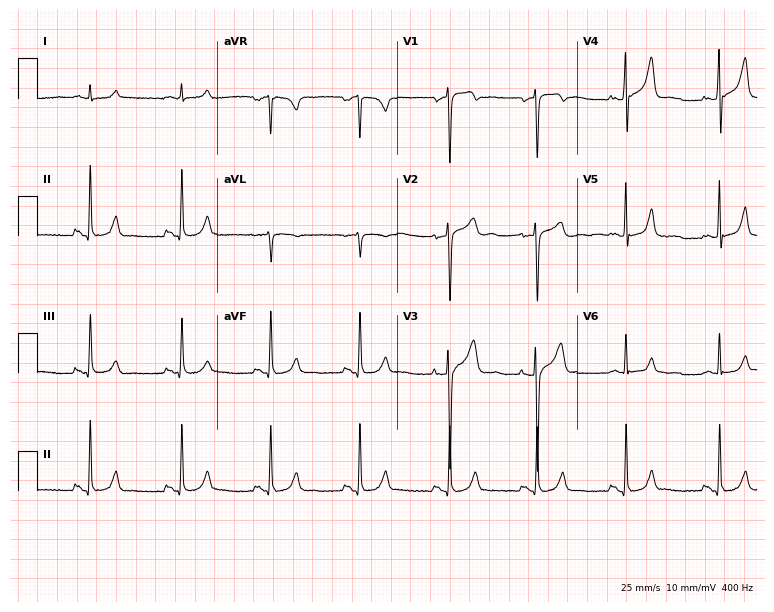
Electrocardiogram (7.3-second recording at 400 Hz), a 50-year-old male patient. Overall reading on record: normal ECG.